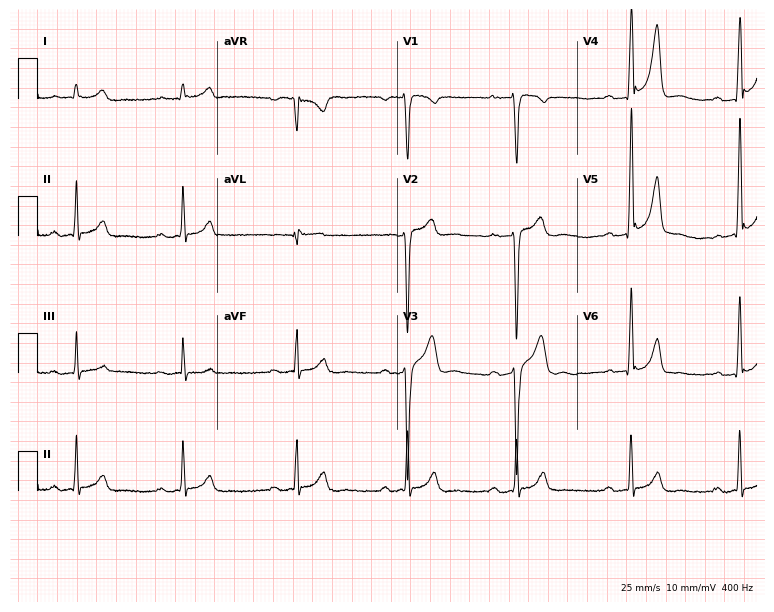
ECG (7.3-second recording at 400 Hz) — a male, 38 years old. Screened for six findings — first-degree AV block, right bundle branch block (RBBB), left bundle branch block (LBBB), sinus bradycardia, atrial fibrillation (AF), sinus tachycardia — none is recorded.